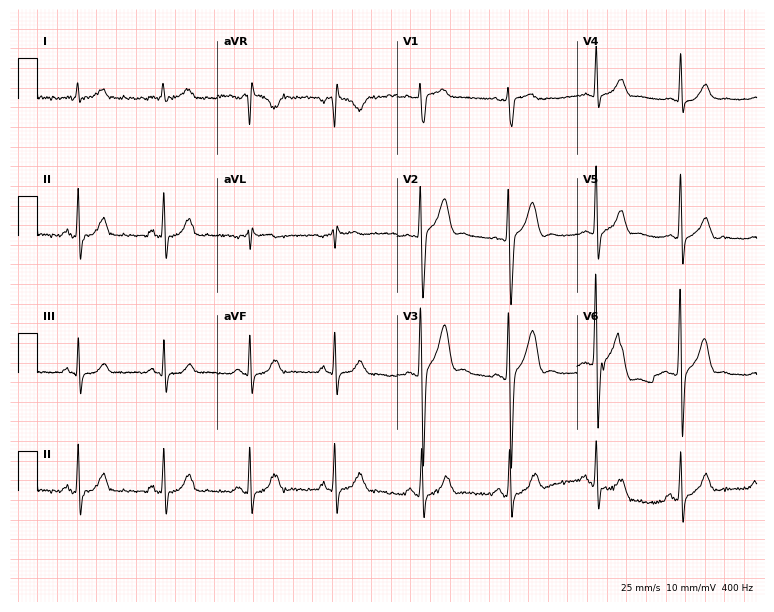
Standard 12-lead ECG recorded from a 31-year-old male patient. Read as a normal ECG.